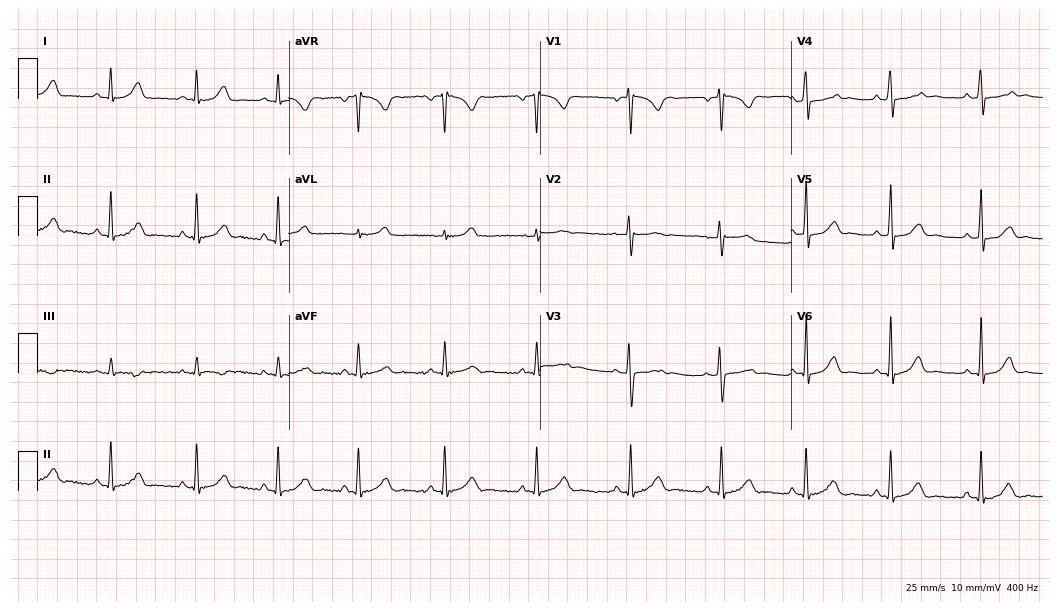
12-lead ECG from a female, 38 years old. Labelled as a normal ECG.